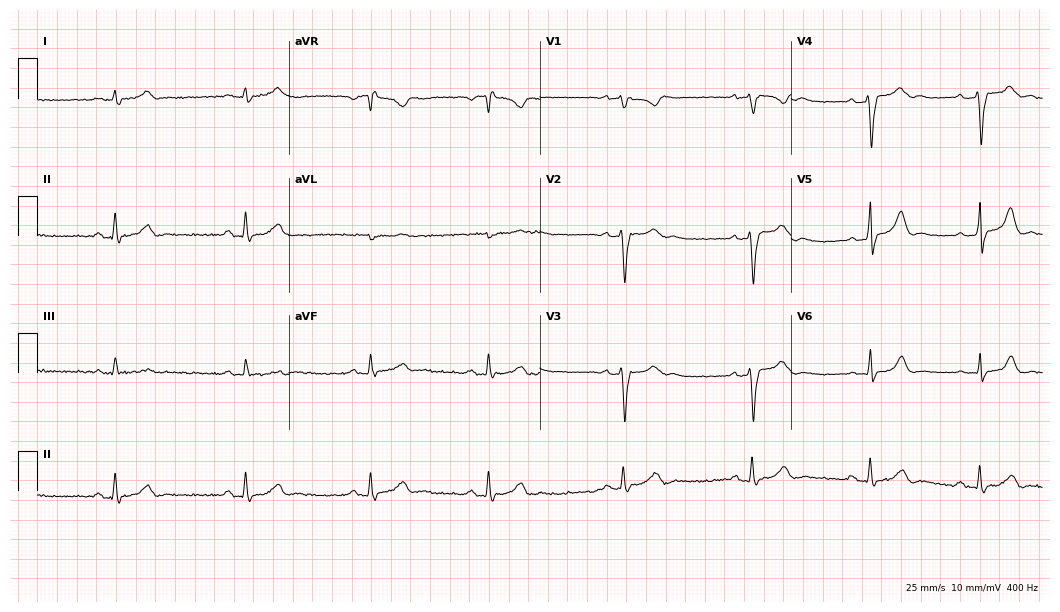
12-lead ECG from a 32-year-old male. Findings include sinus bradycardia (a sinus rate of 50 beats per minute or less).